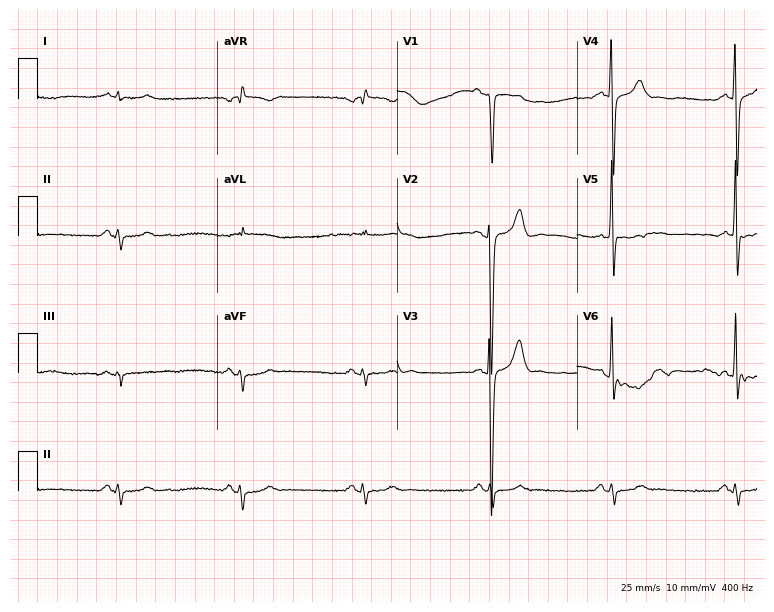
ECG (7.3-second recording at 400 Hz) — a 60-year-old male. Findings include sinus bradycardia (a sinus rate of 50 beats per minute or less).